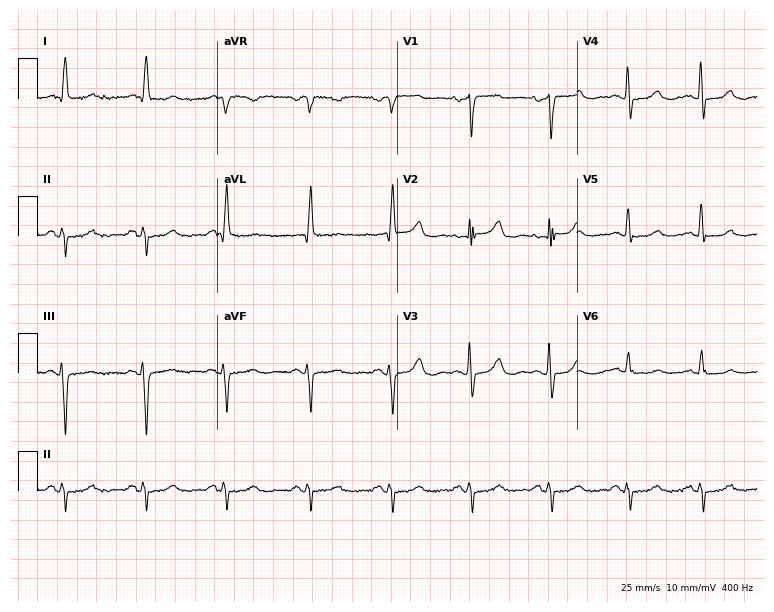
12-lead ECG from a 70-year-old woman. Screened for six findings — first-degree AV block, right bundle branch block, left bundle branch block, sinus bradycardia, atrial fibrillation, sinus tachycardia — none is recorded.